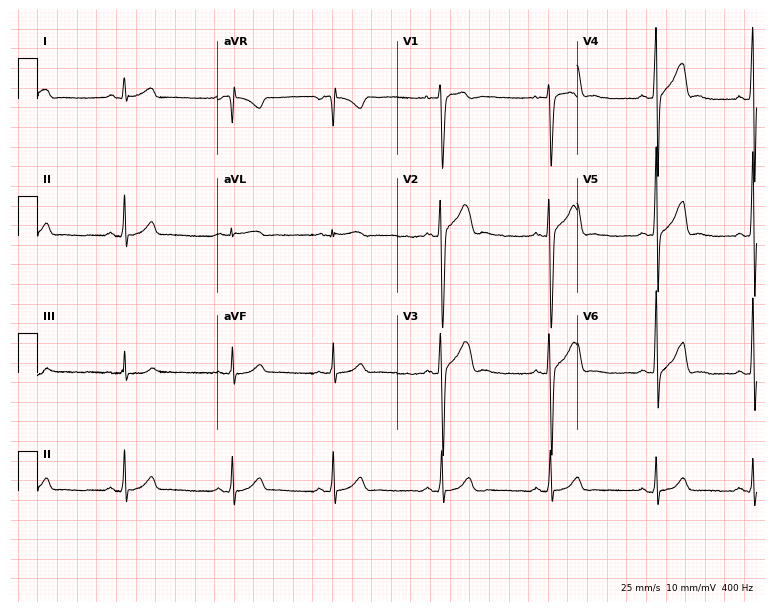
12-lead ECG (7.3-second recording at 400 Hz) from a 22-year-old male patient. Labelled as a normal ECG.